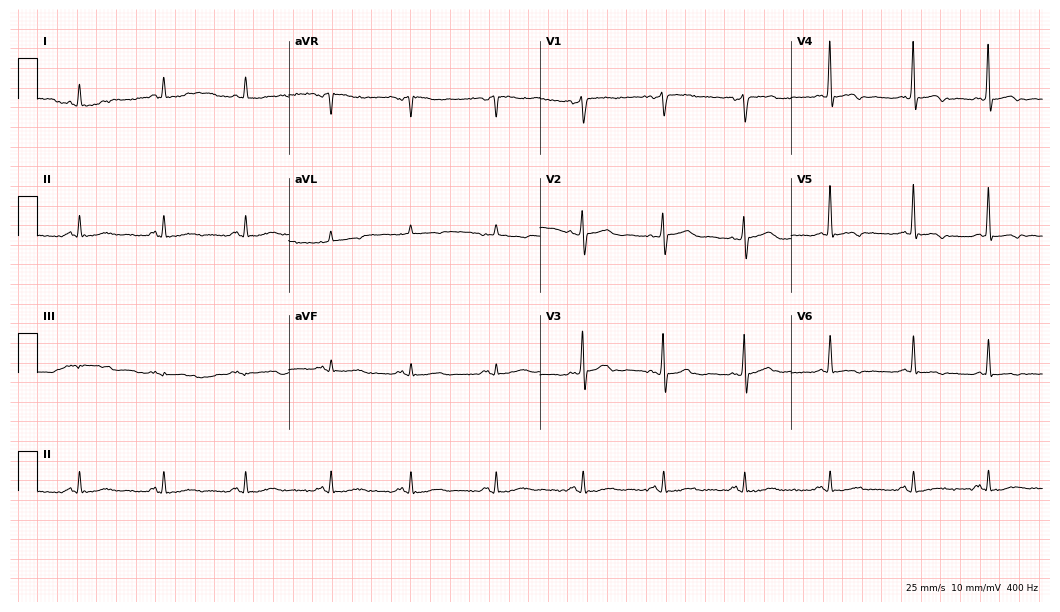
12-lead ECG from a 61-year-old male patient. Recorded interpretation: within normal limits.